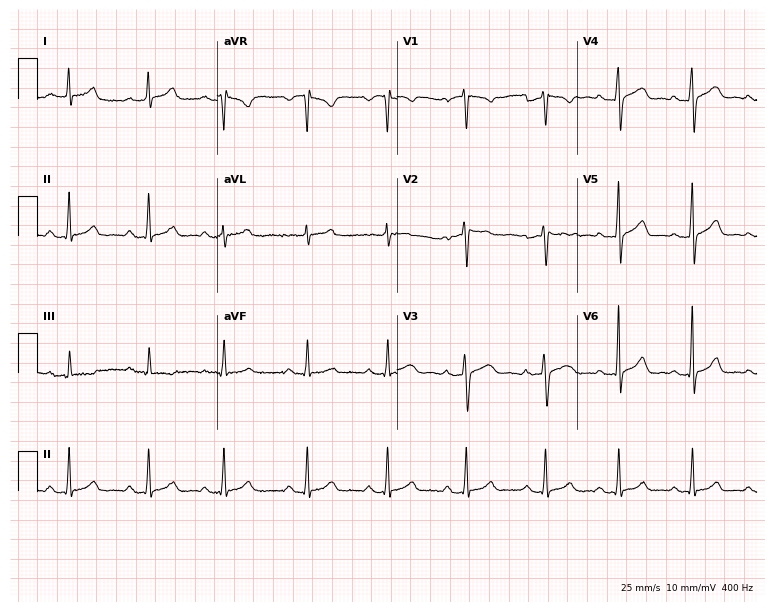
Electrocardiogram (7.3-second recording at 400 Hz), a female patient, 27 years old. Of the six screened findings (first-degree AV block, right bundle branch block, left bundle branch block, sinus bradycardia, atrial fibrillation, sinus tachycardia), none is recorded.